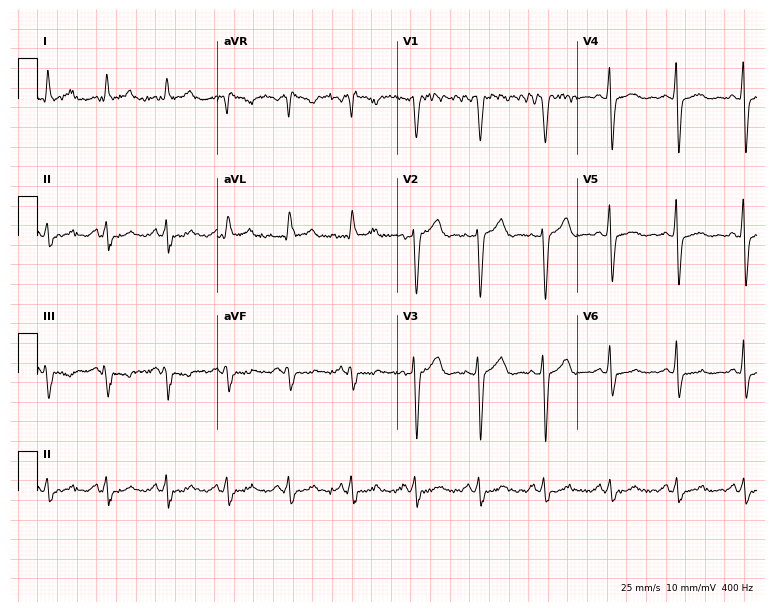
12-lead ECG from a male, 50 years old (7.3-second recording at 400 Hz). No first-degree AV block, right bundle branch block (RBBB), left bundle branch block (LBBB), sinus bradycardia, atrial fibrillation (AF) or sinus tachycardia recorded for this tracing. Findings outside these six are not listed.